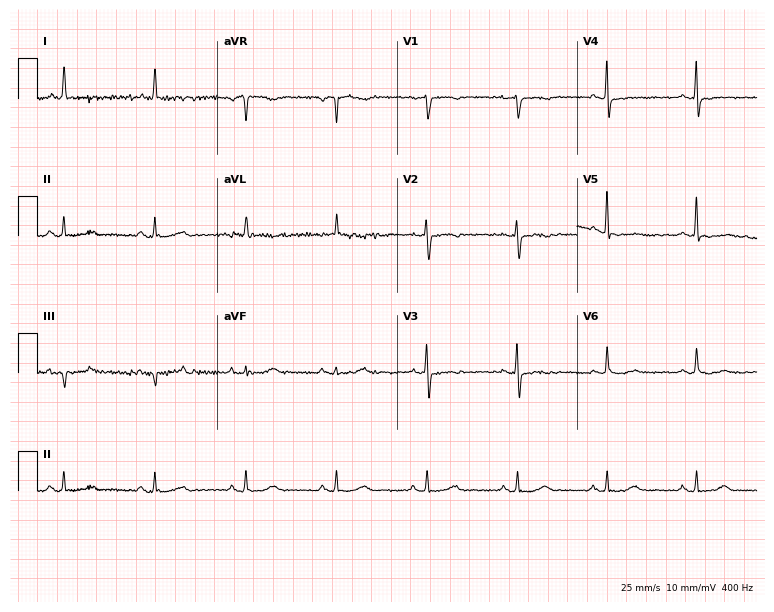
Electrocardiogram, an 81-year-old female patient. Of the six screened findings (first-degree AV block, right bundle branch block (RBBB), left bundle branch block (LBBB), sinus bradycardia, atrial fibrillation (AF), sinus tachycardia), none is recorded.